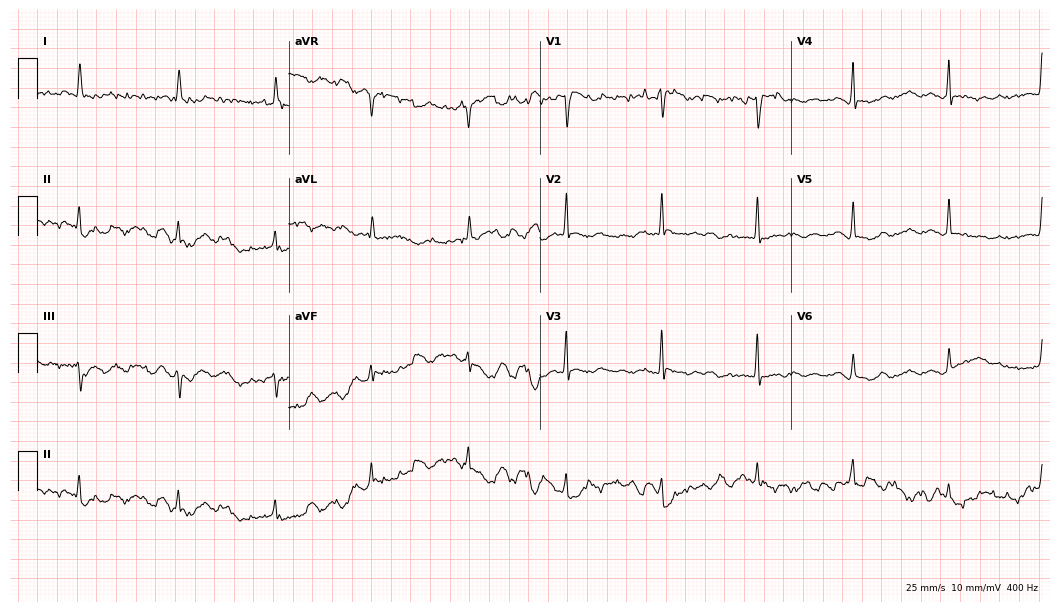
Resting 12-lead electrocardiogram (10.2-second recording at 400 Hz). Patient: a 75-year-old female. None of these six findings is recorded: first-degree AV block, right bundle branch block, left bundle branch block, sinus bradycardia, atrial fibrillation, sinus tachycardia.